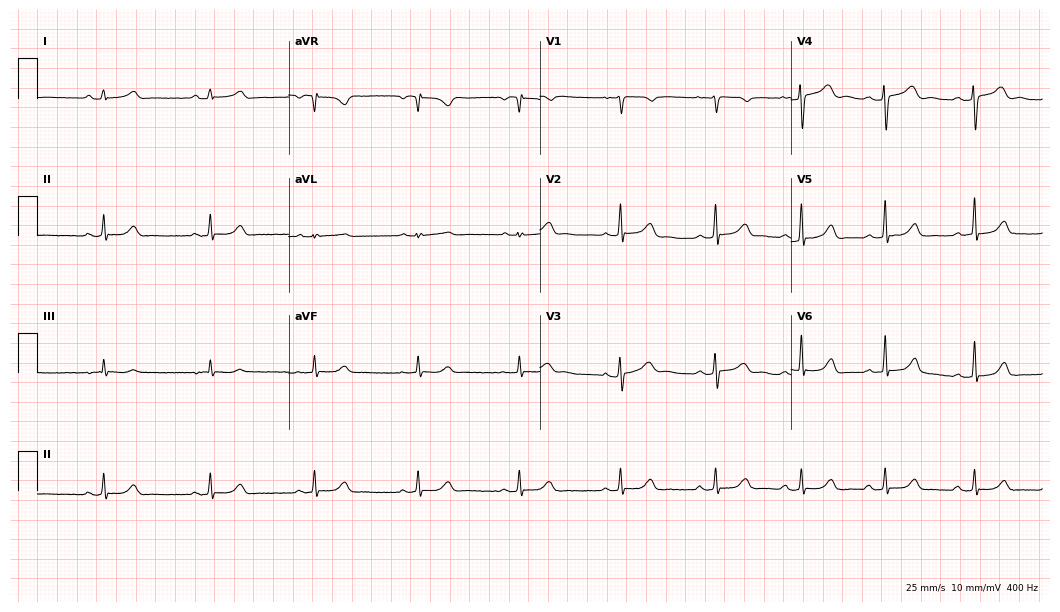
12-lead ECG from a female, 20 years old (10.2-second recording at 400 Hz). Recorded interpretation: within normal limits.